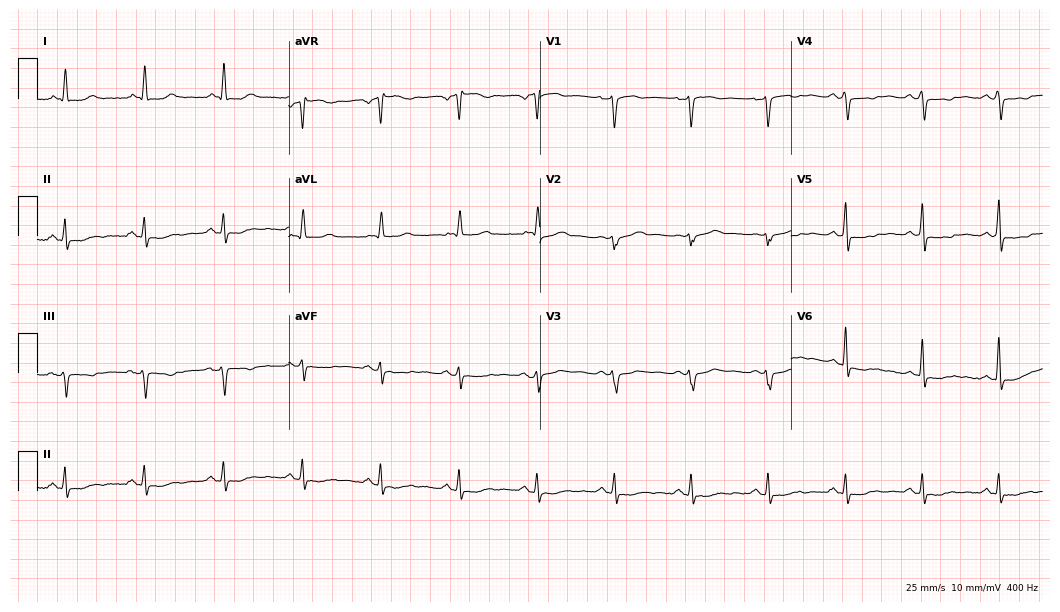
Standard 12-lead ECG recorded from a 31-year-old female patient (10.2-second recording at 400 Hz). None of these six findings is recorded: first-degree AV block, right bundle branch block (RBBB), left bundle branch block (LBBB), sinus bradycardia, atrial fibrillation (AF), sinus tachycardia.